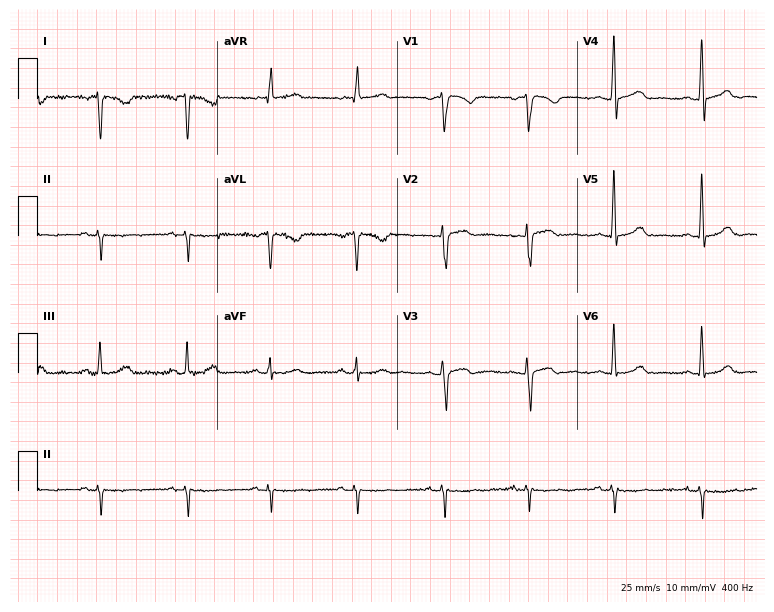
Electrocardiogram (7.3-second recording at 400 Hz), a female patient, 55 years old. Of the six screened findings (first-degree AV block, right bundle branch block (RBBB), left bundle branch block (LBBB), sinus bradycardia, atrial fibrillation (AF), sinus tachycardia), none is recorded.